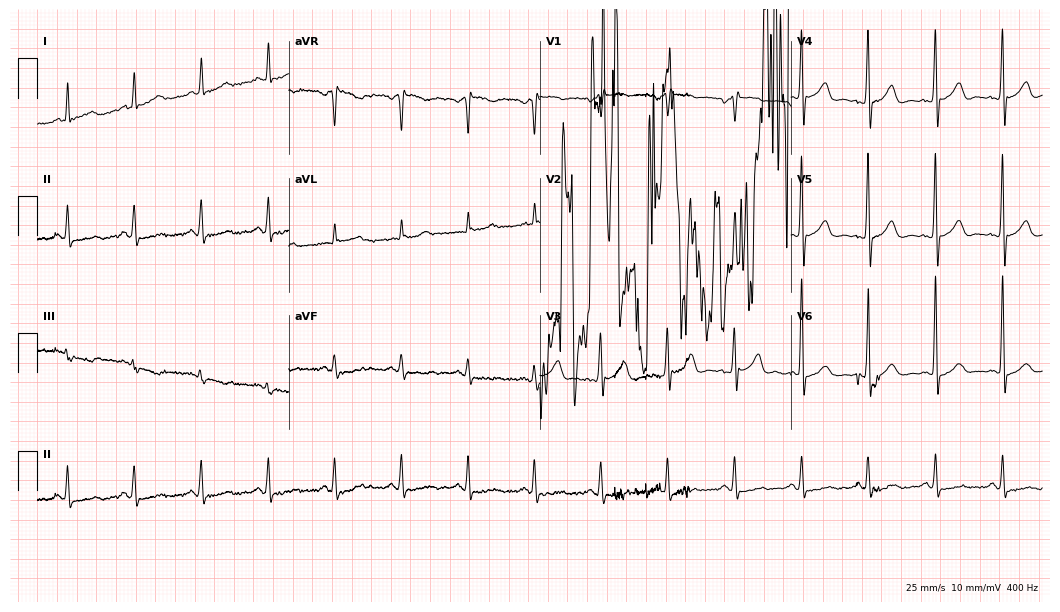
ECG (10.2-second recording at 400 Hz) — a man, 58 years old. Screened for six findings — first-degree AV block, right bundle branch block, left bundle branch block, sinus bradycardia, atrial fibrillation, sinus tachycardia — none is recorded.